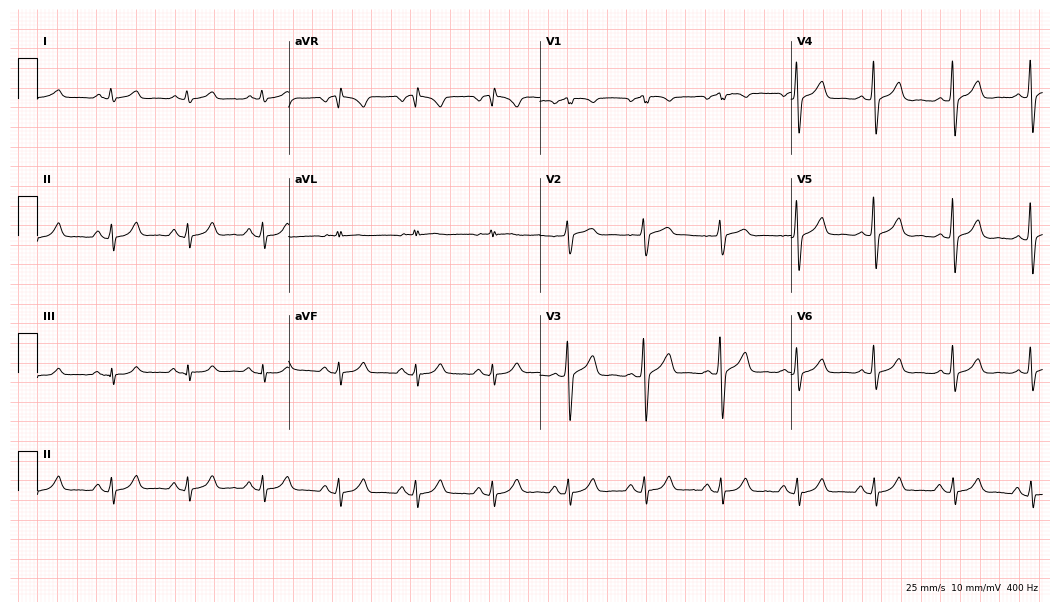
12-lead ECG from a 59-year-old man. Labelled as a normal ECG.